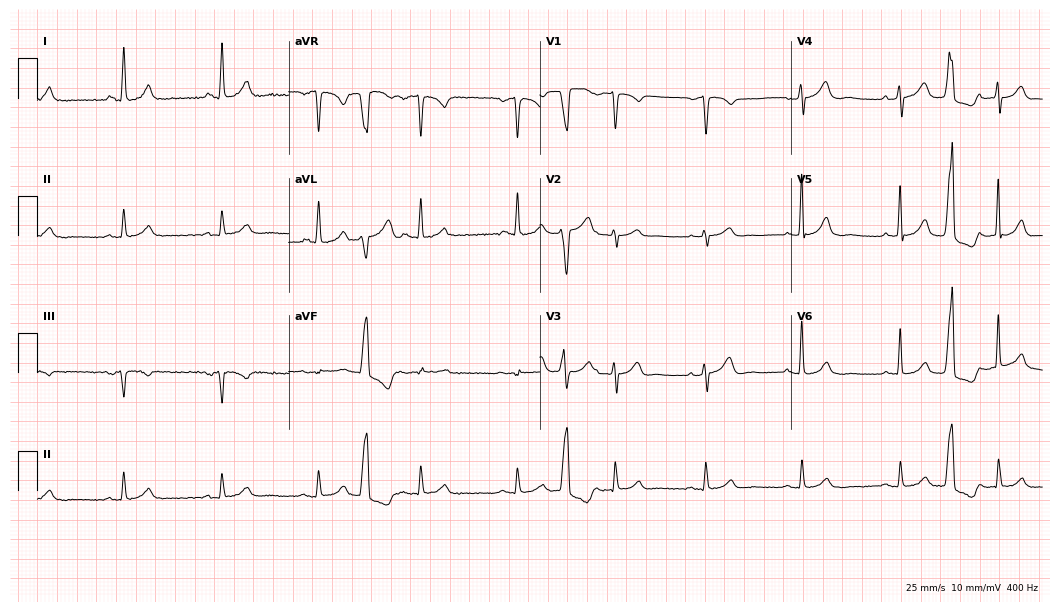
Standard 12-lead ECG recorded from a woman, 77 years old. None of these six findings is recorded: first-degree AV block, right bundle branch block (RBBB), left bundle branch block (LBBB), sinus bradycardia, atrial fibrillation (AF), sinus tachycardia. Other findings, if any, are not listed.